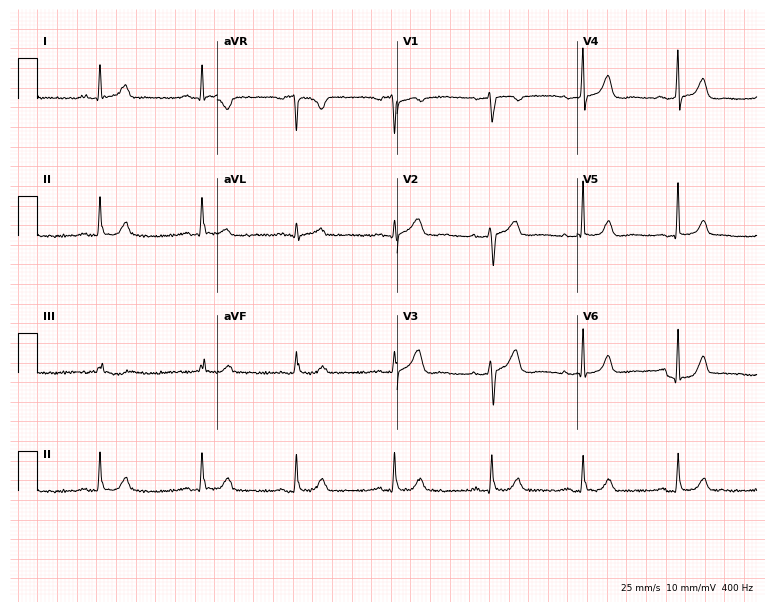
12-lead ECG from a 59-year-old female. Labelled as a normal ECG.